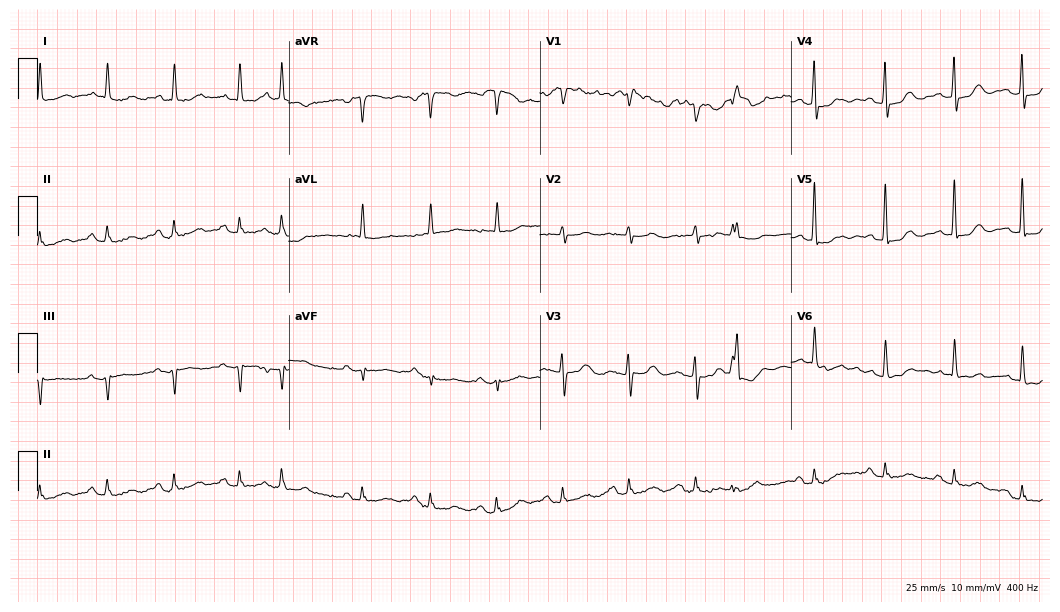
ECG — a female patient, 86 years old. Screened for six findings — first-degree AV block, right bundle branch block, left bundle branch block, sinus bradycardia, atrial fibrillation, sinus tachycardia — none is recorded.